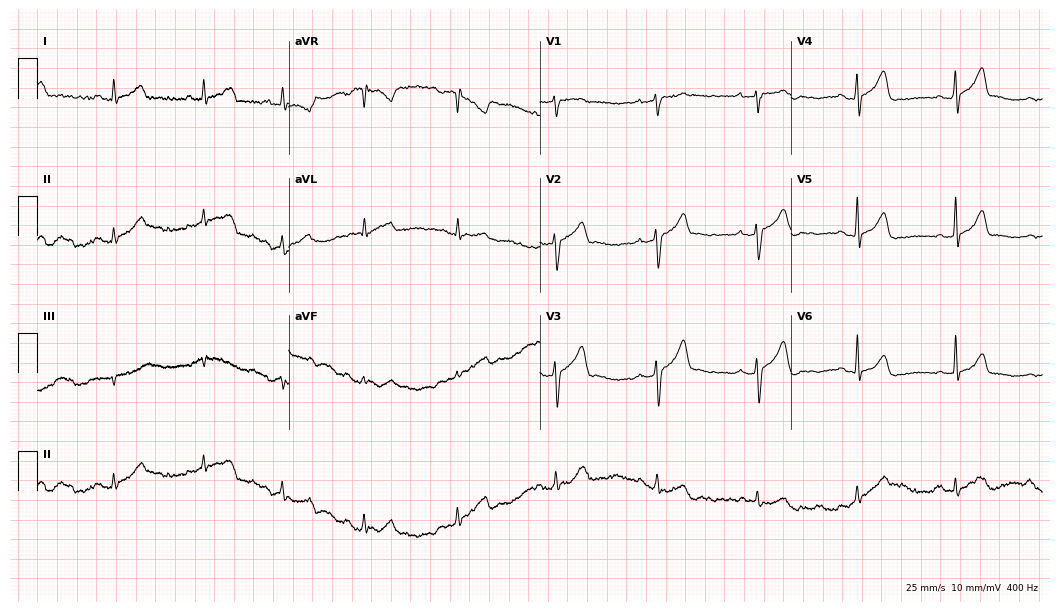
Resting 12-lead electrocardiogram (10.2-second recording at 400 Hz). Patient: a male, 31 years old. None of these six findings is recorded: first-degree AV block, right bundle branch block, left bundle branch block, sinus bradycardia, atrial fibrillation, sinus tachycardia. Findings outside these six are not listed.